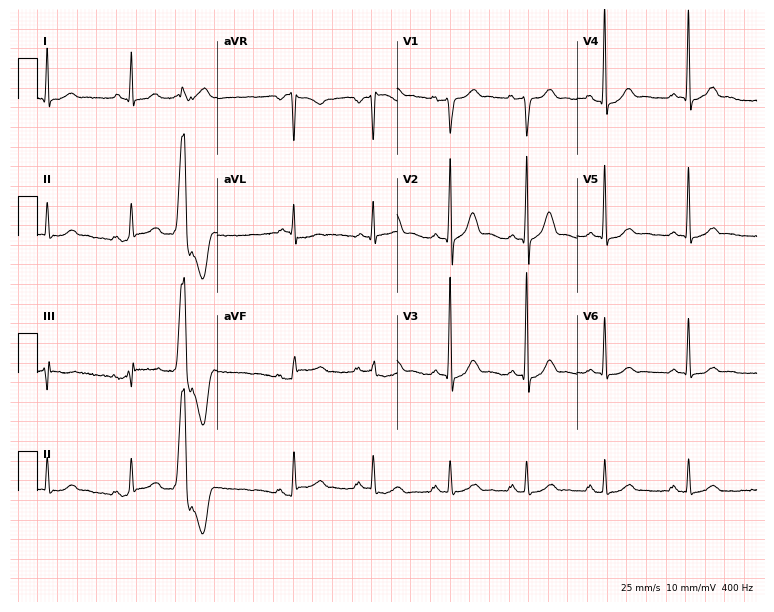
Electrocardiogram, a male patient, 59 years old. Of the six screened findings (first-degree AV block, right bundle branch block, left bundle branch block, sinus bradycardia, atrial fibrillation, sinus tachycardia), none is recorded.